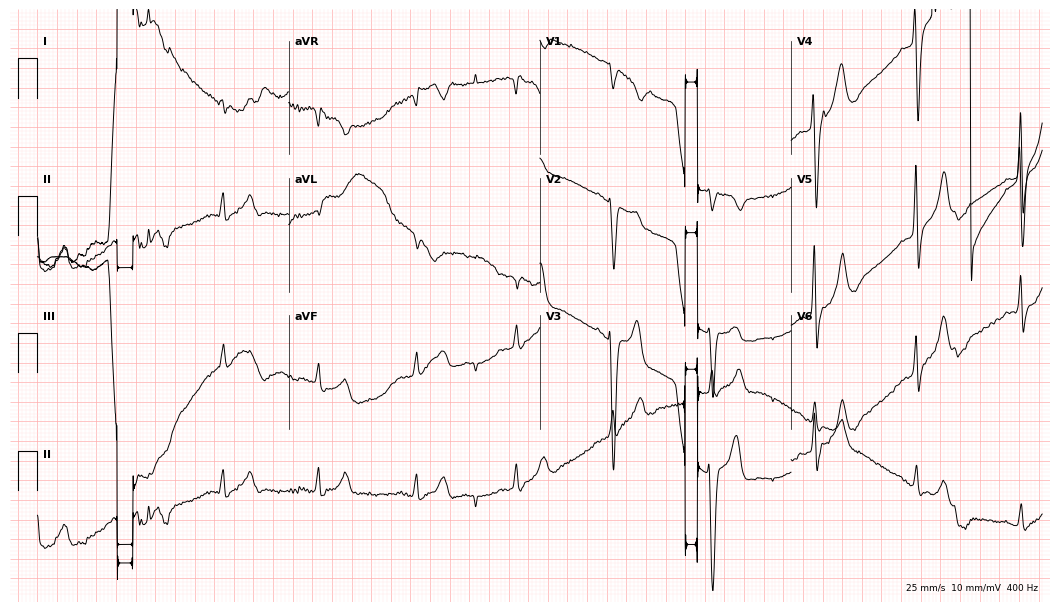
12-lead ECG (10.2-second recording at 400 Hz) from a 26-year-old man. Screened for six findings — first-degree AV block, right bundle branch block (RBBB), left bundle branch block (LBBB), sinus bradycardia, atrial fibrillation (AF), sinus tachycardia — none is recorded.